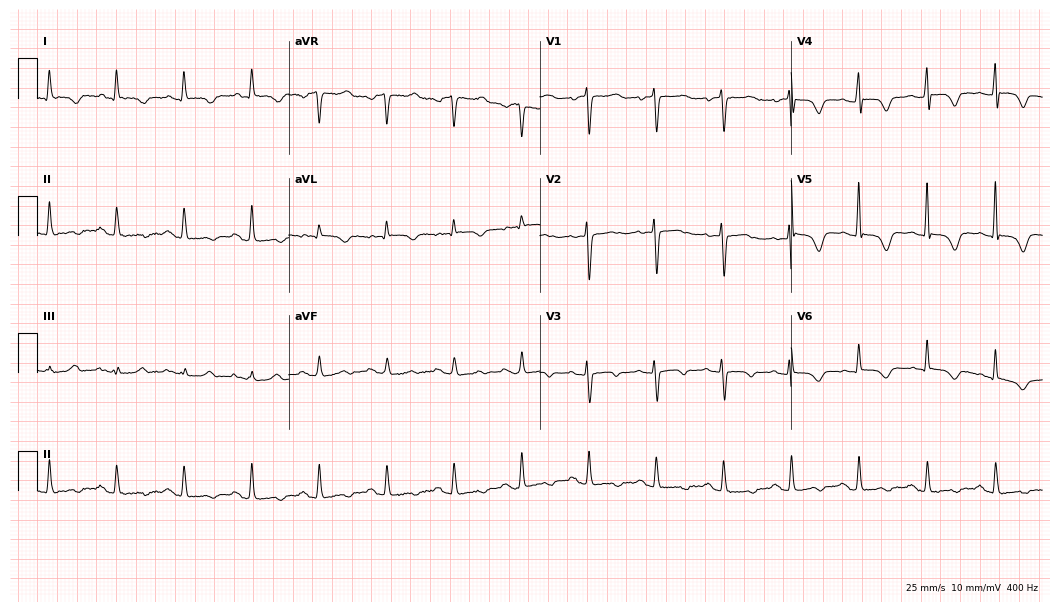
12-lead ECG from an 85-year-old female. Recorded interpretation: within normal limits.